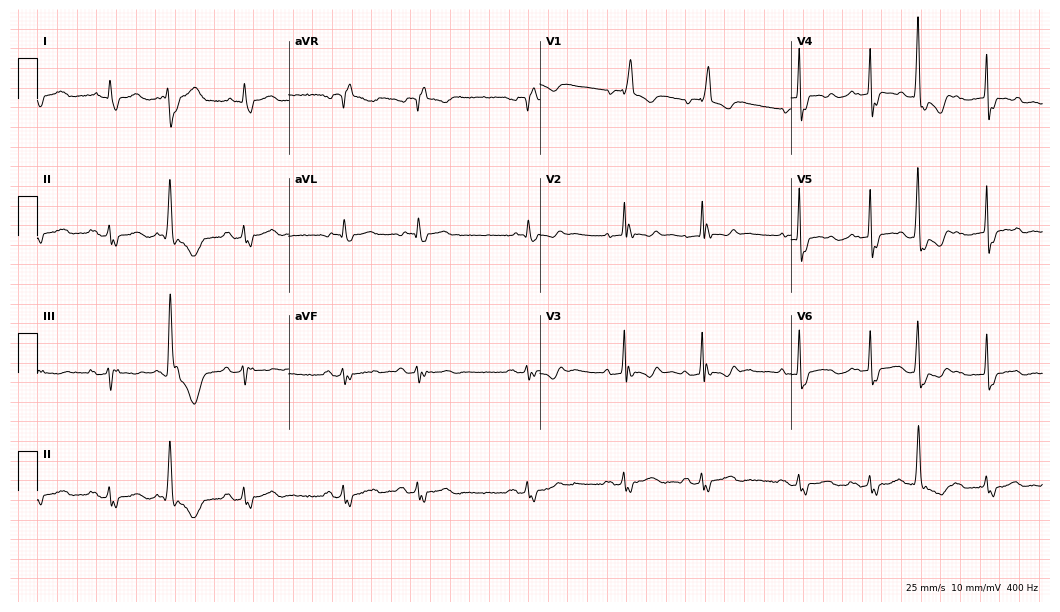
Electrocardiogram (10.2-second recording at 400 Hz), a male, 85 years old. Interpretation includes right bundle branch block.